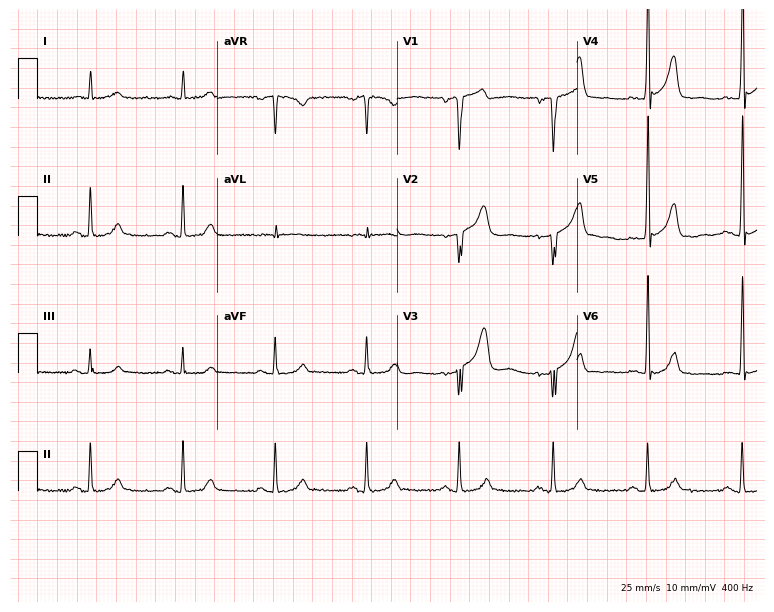
12-lead ECG (7.3-second recording at 400 Hz) from a 75-year-old male patient. Labelled as a normal ECG.